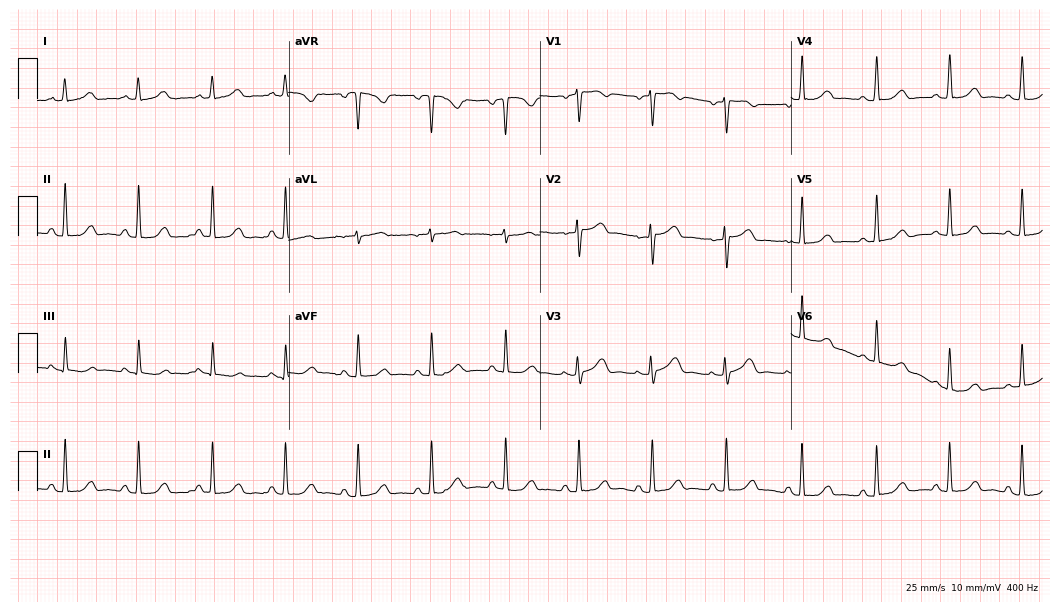
Resting 12-lead electrocardiogram. Patient: a woman, 49 years old. None of these six findings is recorded: first-degree AV block, right bundle branch block, left bundle branch block, sinus bradycardia, atrial fibrillation, sinus tachycardia.